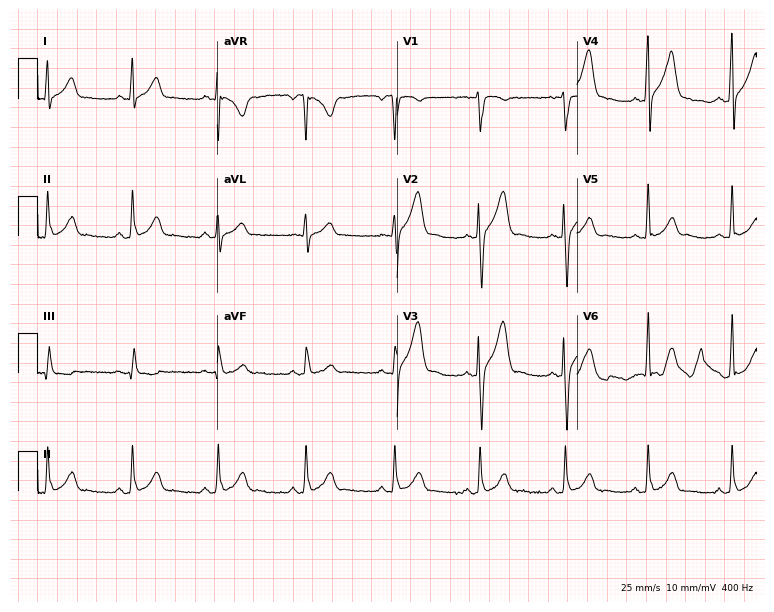
Electrocardiogram (7.3-second recording at 400 Hz), a man, 26 years old. Overall reading on record: normal ECG.